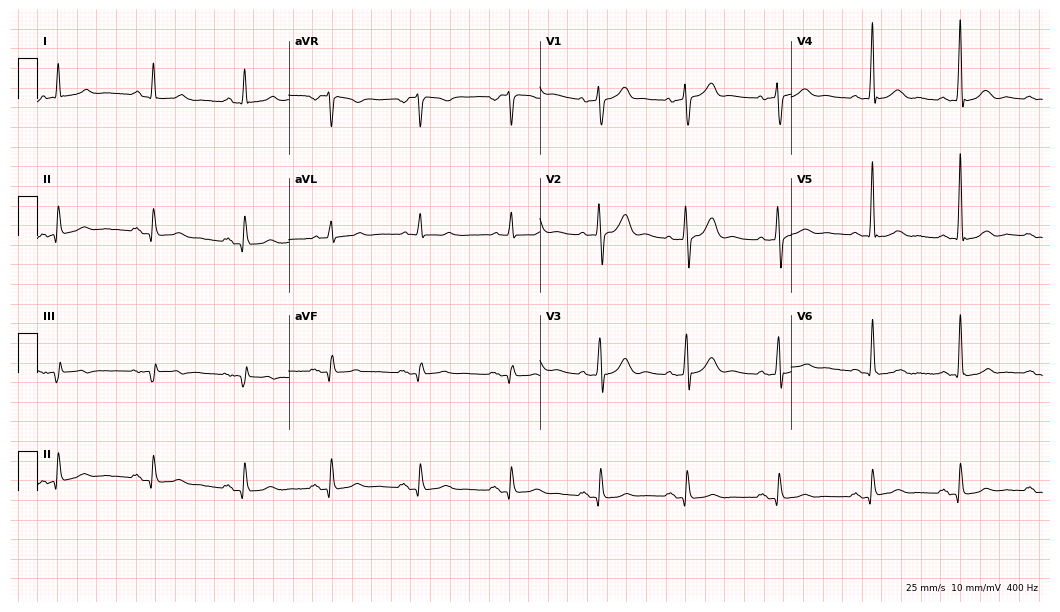
Resting 12-lead electrocardiogram (10.2-second recording at 400 Hz). Patient: an 84-year-old male. Read as a normal ECG.